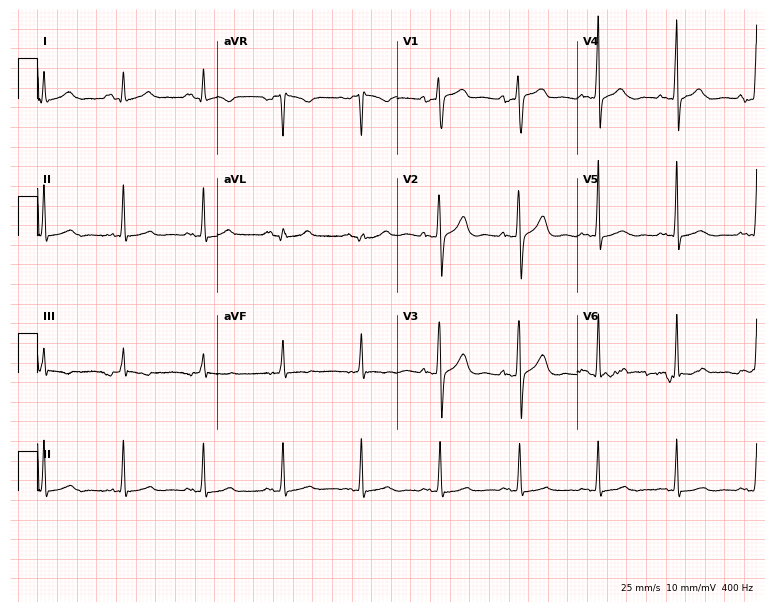
Standard 12-lead ECG recorded from a female patient, 21 years old. Read as a normal ECG.